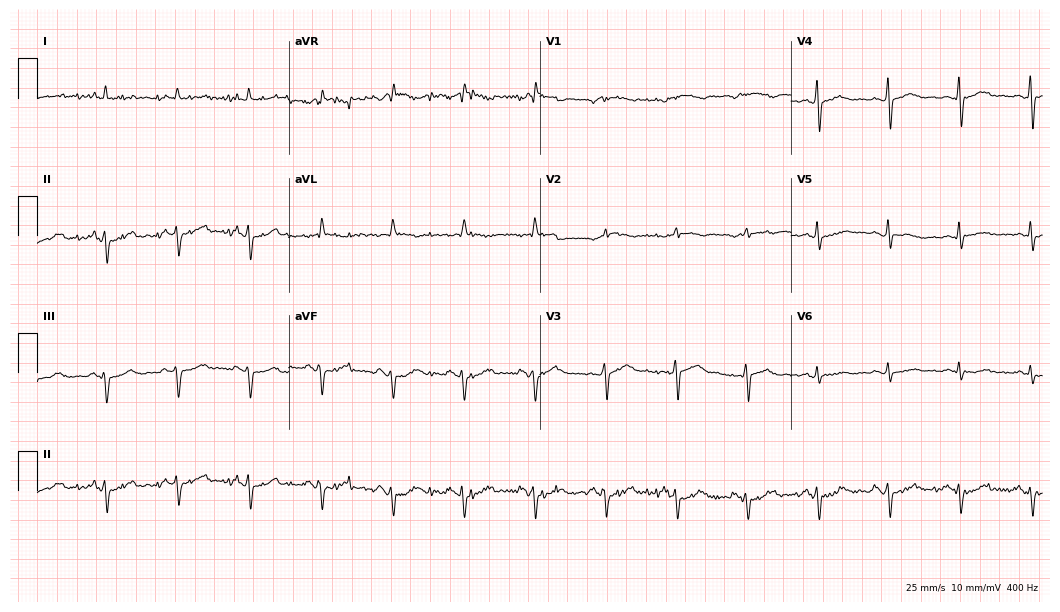
Standard 12-lead ECG recorded from a male, 64 years old (10.2-second recording at 400 Hz). None of these six findings is recorded: first-degree AV block, right bundle branch block (RBBB), left bundle branch block (LBBB), sinus bradycardia, atrial fibrillation (AF), sinus tachycardia.